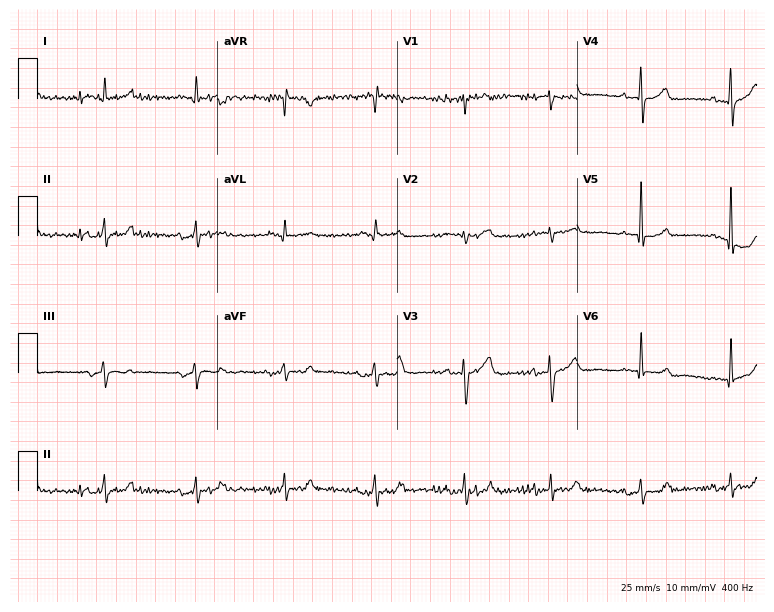
ECG (7.3-second recording at 400 Hz) — a 76-year-old man. Screened for six findings — first-degree AV block, right bundle branch block, left bundle branch block, sinus bradycardia, atrial fibrillation, sinus tachycardia — none is recorded. Other findings, if any, are not listed.